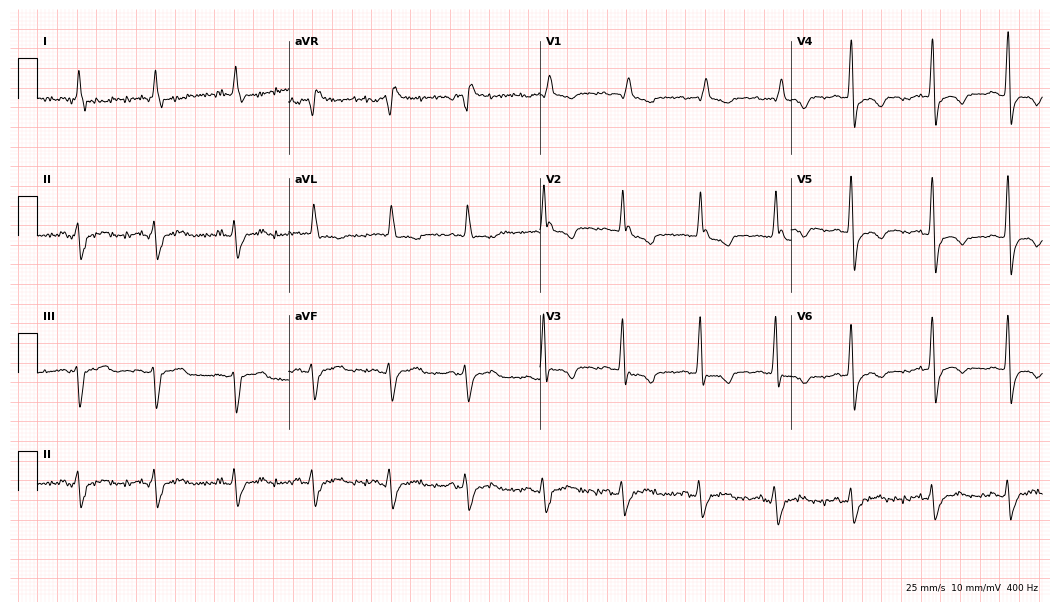
Resting 12-lead electrocardiogram. Patient: a male, 78 years old. None of these six findings is recorded: first-degree AV block, right bundle branch block, left bundle branch block, sinus bradycardia, atrial fibrillation, sinus tachycardia. Other findings, if any, are not listed.